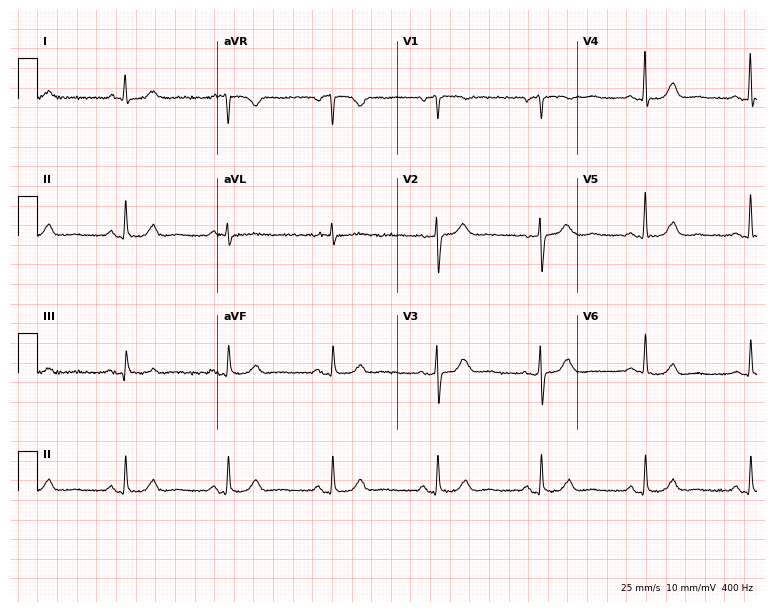
ECG (7.3-second recording at 400 Hz) — a 62-year-old man. Labelled as a normal ECG.